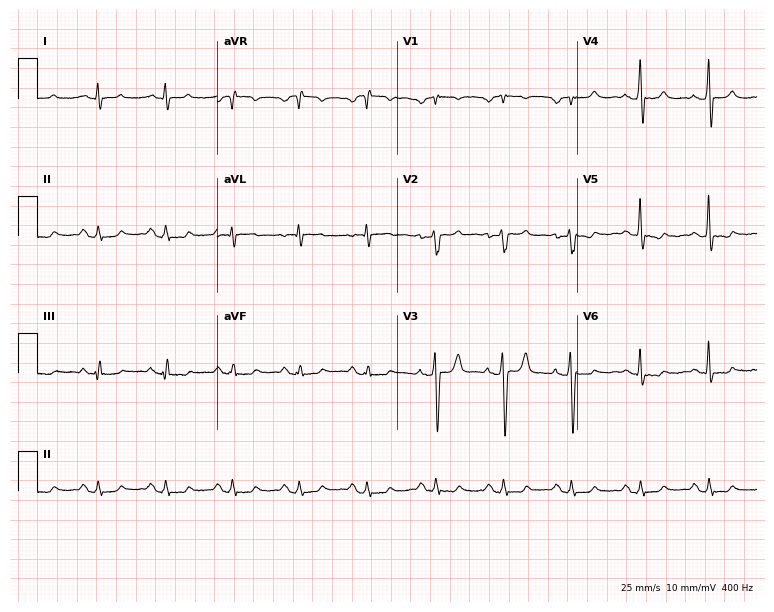
Electrocardiogram (7.3-second recording at 400 Hz), a 39-year-old female patient. Of the six screened findings (first-degree AV block, right bundle branch block, left bundle branch block, sinus bradycardia, atrial fibrillation, sinus tachycardia), none is recorded. Findings outside these six are not listed.